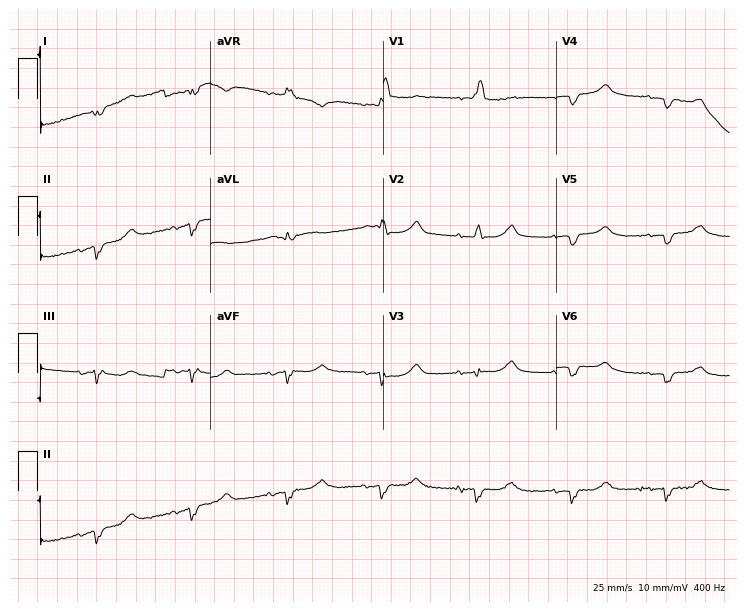
Resting 12-lead electrocardiogram. Patient: a woman, 72 years old. The tracing shows right bundle branch block.